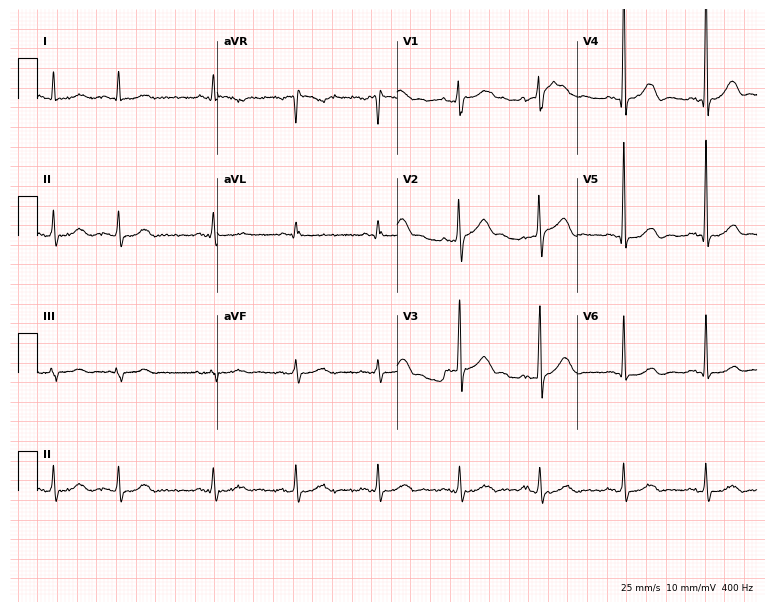
ECG (7.3-second recording at 400 Hz) — a male patient, 66 years old. Screened for six findings — first-degree AV block, right bundle branch block, left bundle branch block, sinus bradycardia, atrial fibrillation, sinus tachycardia — none is recorded.